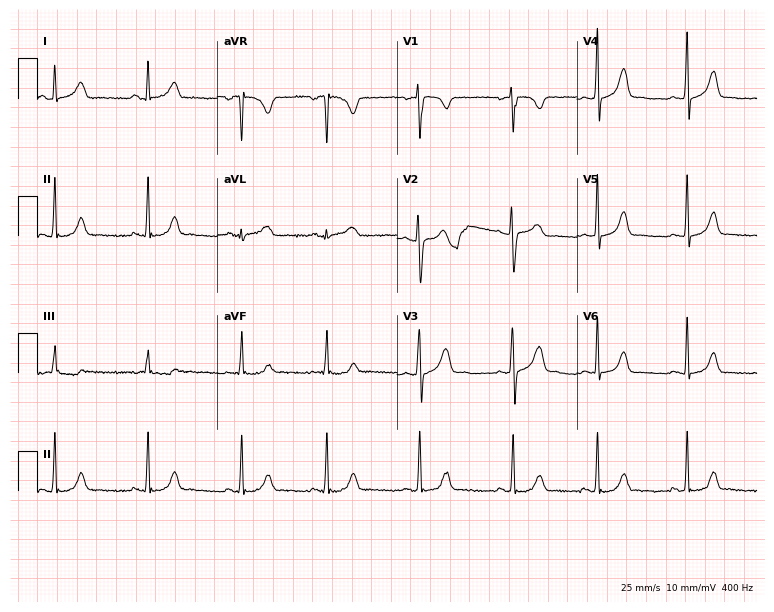
12-lead ECG from a woman, 18 years old (7.3-second recording at 400 Hz). Recorded interpretation: within normal limits.